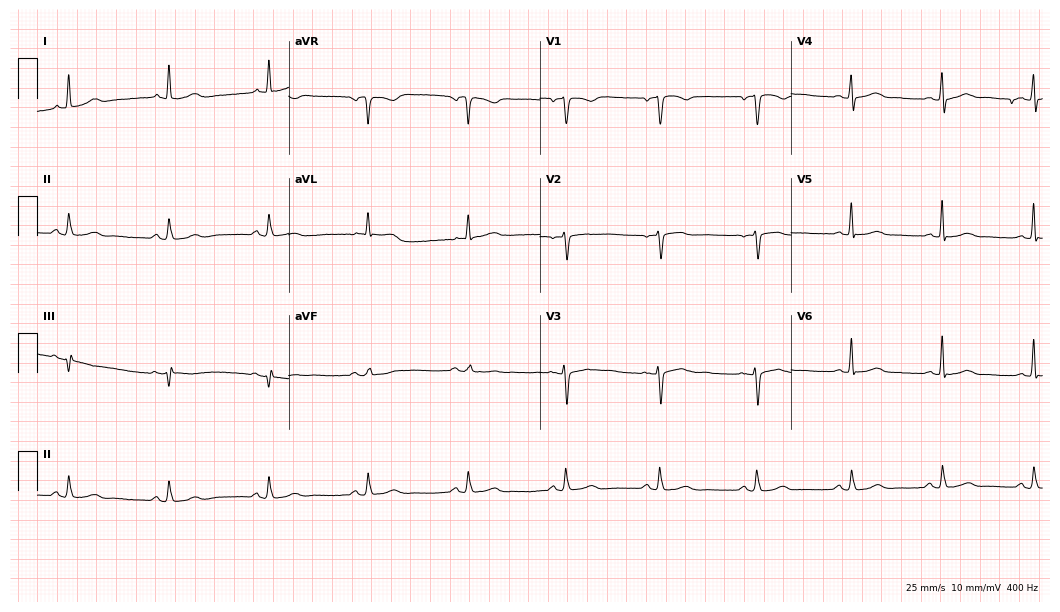
Resting 12-lead electrocardiogram (10.2-second recording at 400 Hz). Patient: a 67-year-old female. None of these six findings is recorded: first-degree AV block, right bundle branch block, left bundle branch block, sinus bradycardia, atrial fibrillation, sinus tachycardia. Other findings, if any, are not listed.